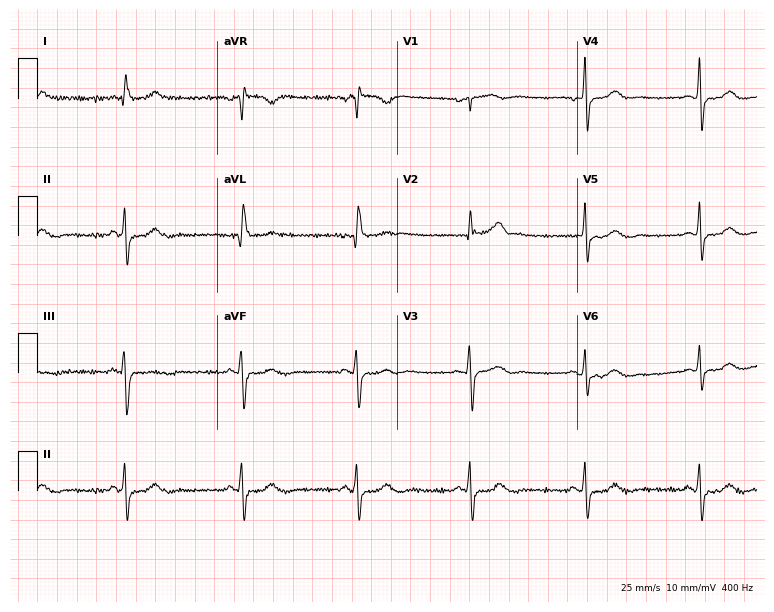
12-lead ECG from a 58-year-old male. No first-degree AV block, right bundle branch block (RBBB), left bundle branch block (LBBB), sinus bradycardia, atrial fibrillation (AF) or sinus tachycardia recorded for this tracing. Other findings, if any, are not listed.